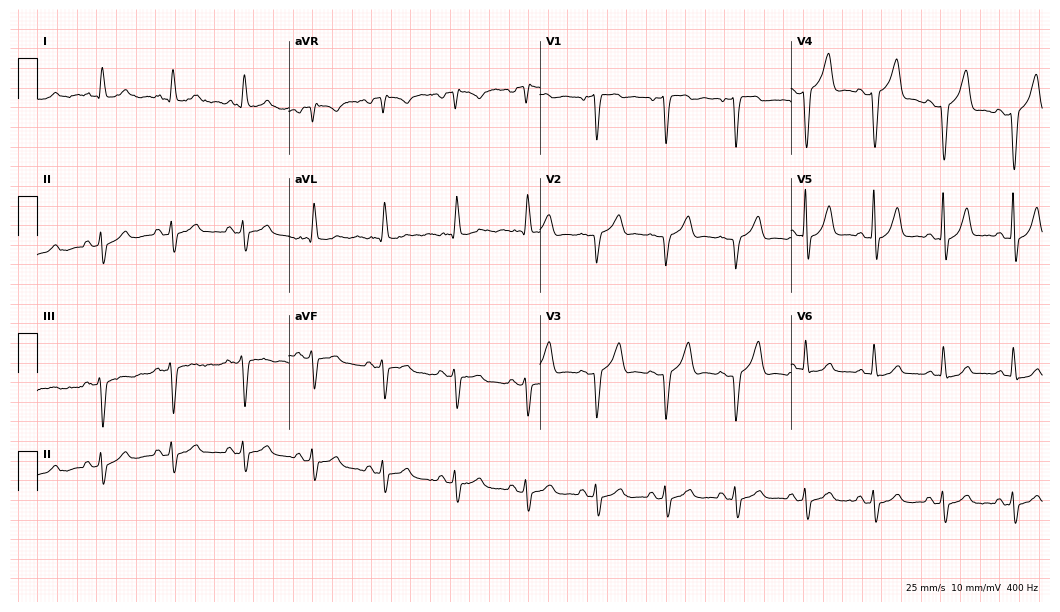
Resting 12-lead electrocardiogram (10.2-second recording at 400 Hz). Patient: a 63-year-old male. None of these six findings is recorded: first-degree AV block, right bundle branch block (RBBB), left bundle branch block (LBBB), sinus bradycardia, atrial fibrillation (AF), sinus tachycardia.